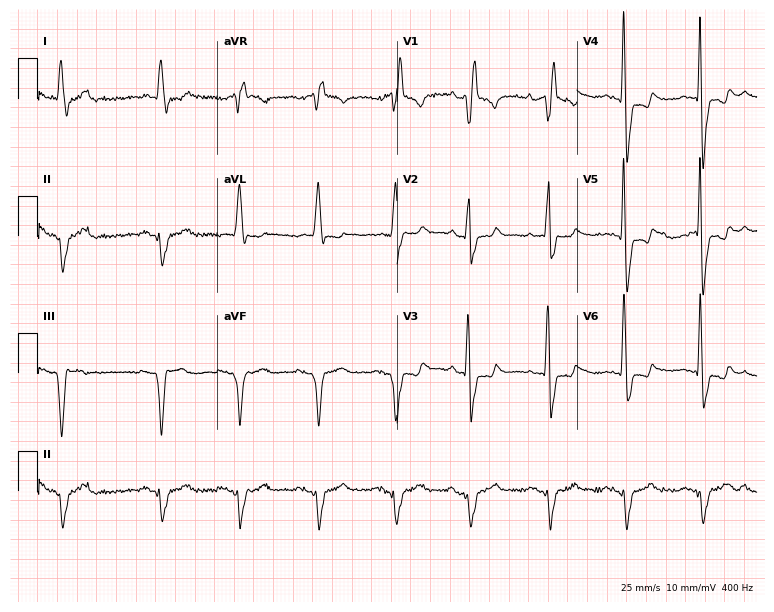
ECG (7.3-second recording at 400 Hz) — a man, 79 years old. Findings include right bundle branch block.